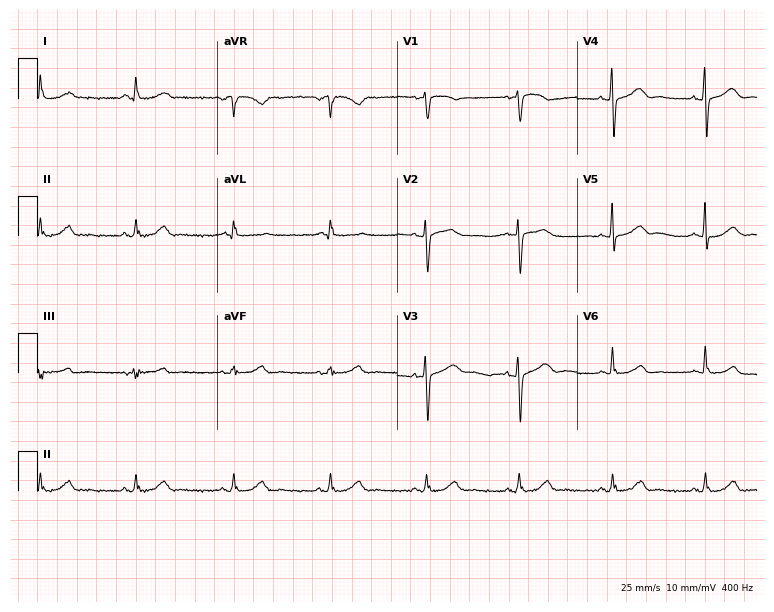
12-lead ECG from a female, 63 years old (7.3-second recording at 400 Hz). Recorded interpretation: within normal limits.